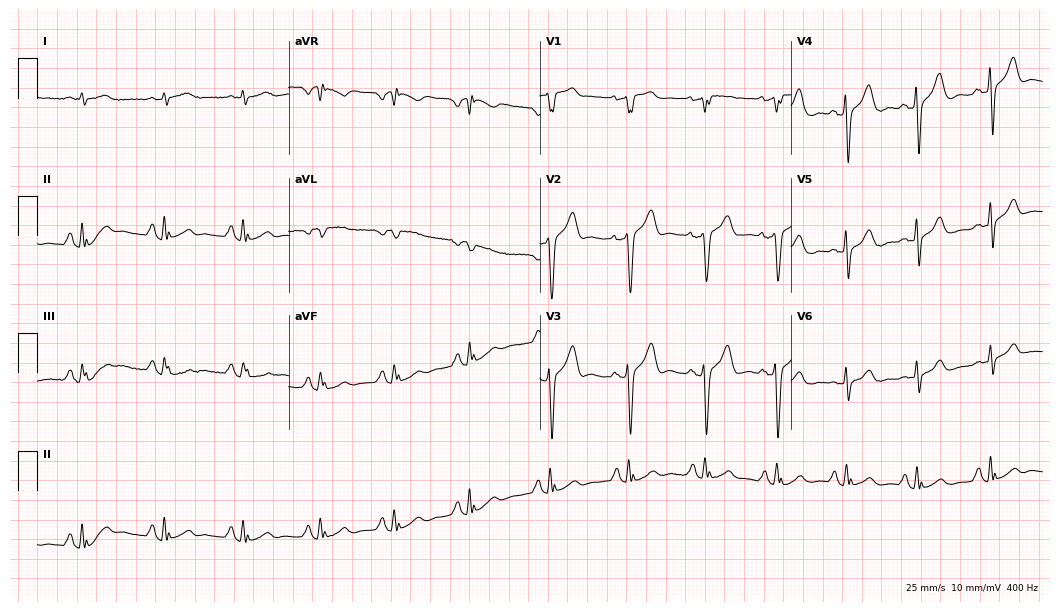
Electrocardiogram, a male patient, 72 years old. Overall reading on record: normal ECG.